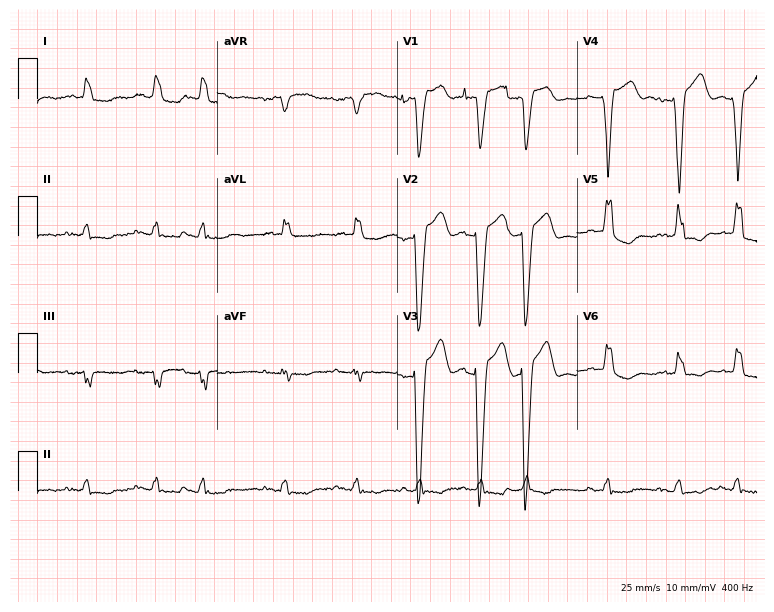
Resting 12-lead electrocardiogram (7.3-second recording at 400 Hz). Patient: a female, 63 years old. The tracing shows left bundle branch block.